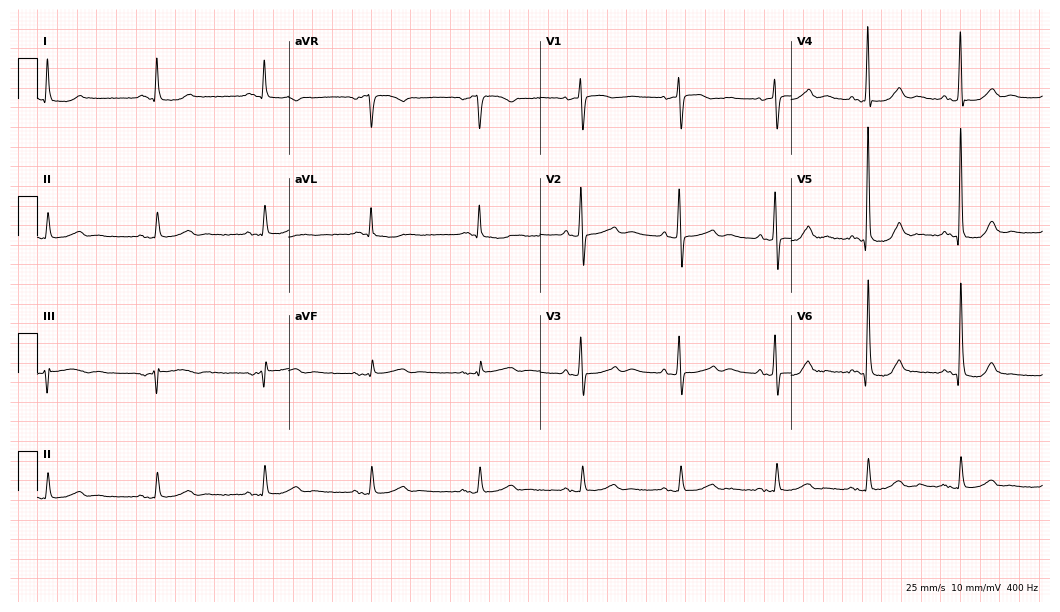
Electrocardiogram, a 76-year-old female patient. Overall reading on record: normal ECG.